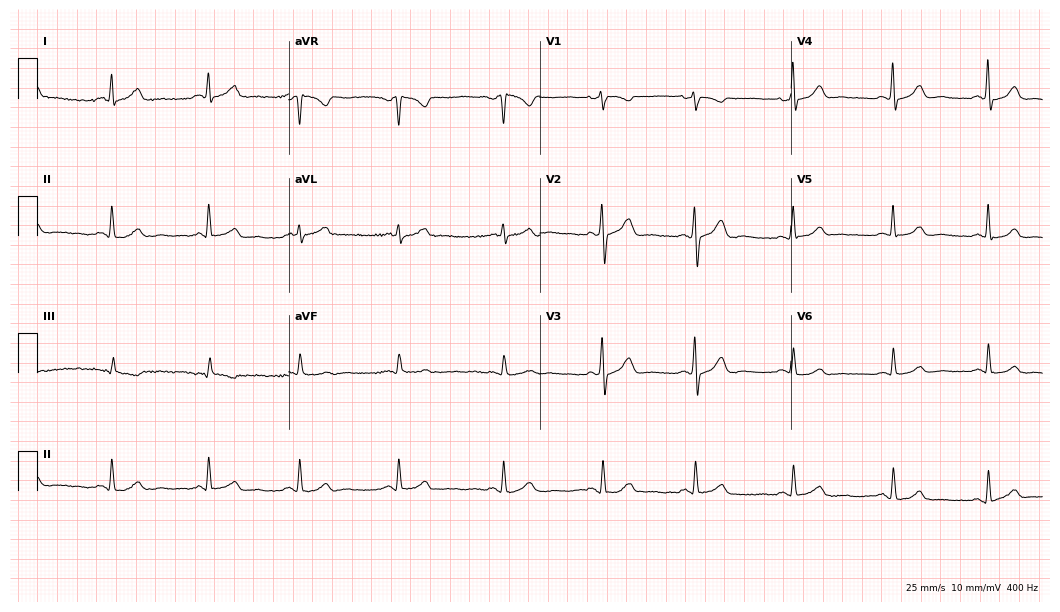
ECG — a female, 37 years old. Labelled as a normal ECG.